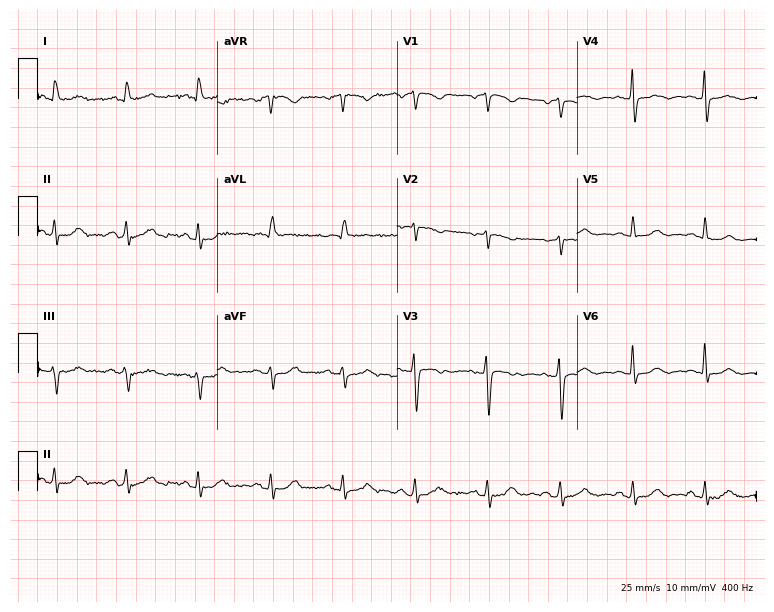
12-lead ECG from a 72-year-old female patient. Screened for six findings — first-degree AV block, right bundle branch block (RBBB), left bundle branch block (LBBB), sinus bradycardia, atrial fibrillation (AF), sinus tachycardia — none is recorded.